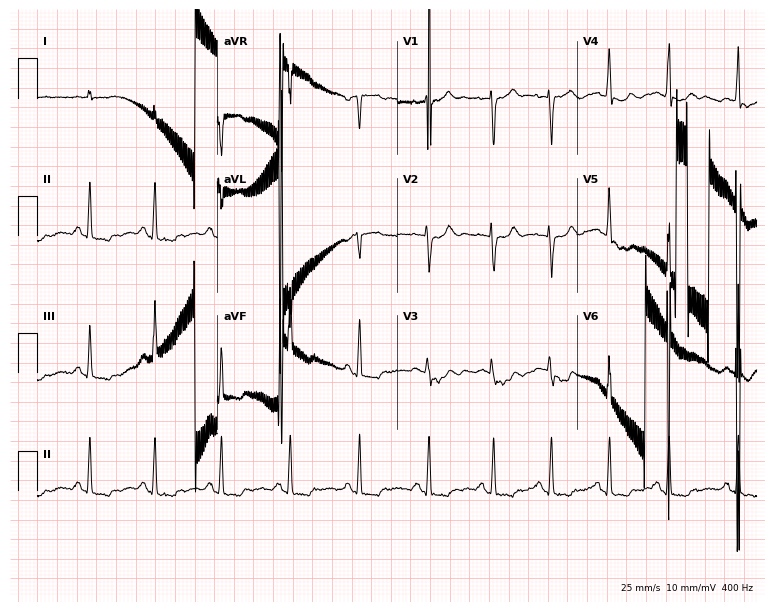
Electrocardiogram, a woman, 44 years old. Of the six screened findings (first-degree AV block, right bundle branch block (RBBB), left bundle branch block (LBBB), sinus bradycardia, atrial fibrillation (AF), sinus tachycardia), none is recorded.